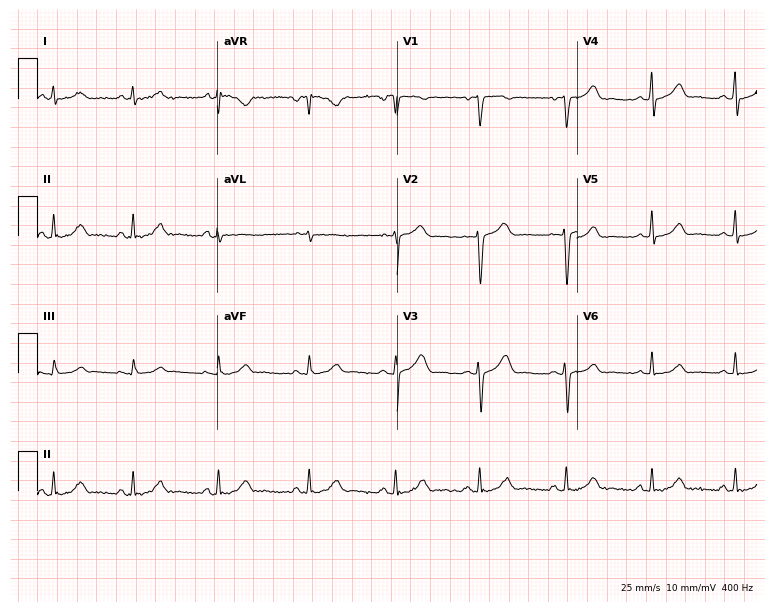
Resting 12-lead electrocardiogram (7.3-second recording at 400 Hz). Patient: a woman, 36 years old. None of these six findings is recorded: first-degree AV block, right bundle branch block, left bundle branch block, sinus bradycardia, atrial fibrillation, sinus tachycardia.